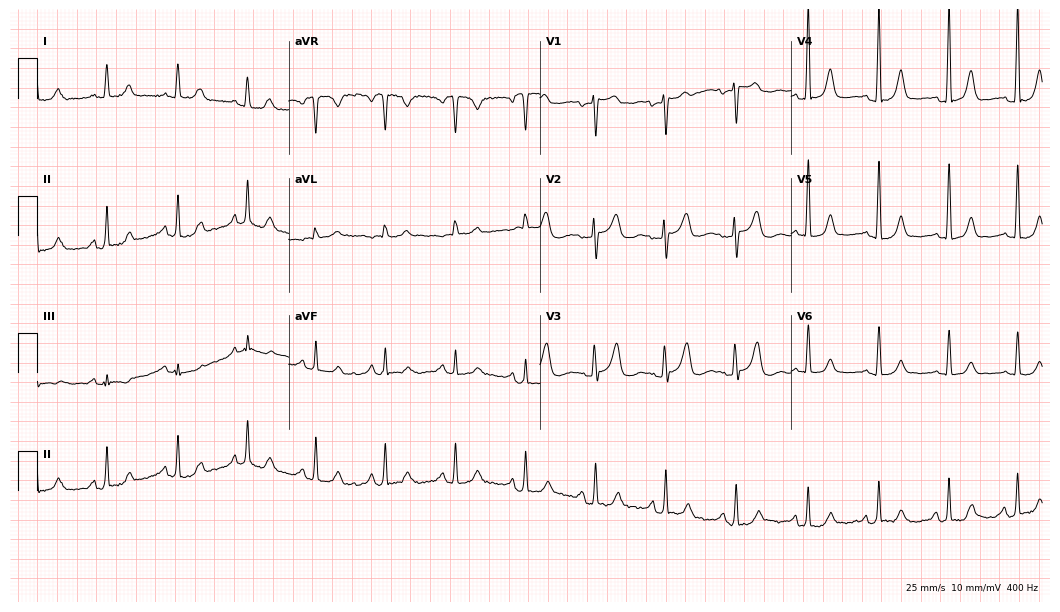
Electrocardiogram (10.2-second recording at 400 Hz), a 61-year-old female. Of the six screened findings (first-degree AV block, right bundle branch block, left bundle branch block, sinus bradycardia, atrial fibrillation, sinus tachycardia), none is recorded. Findings outside these six are not listed.